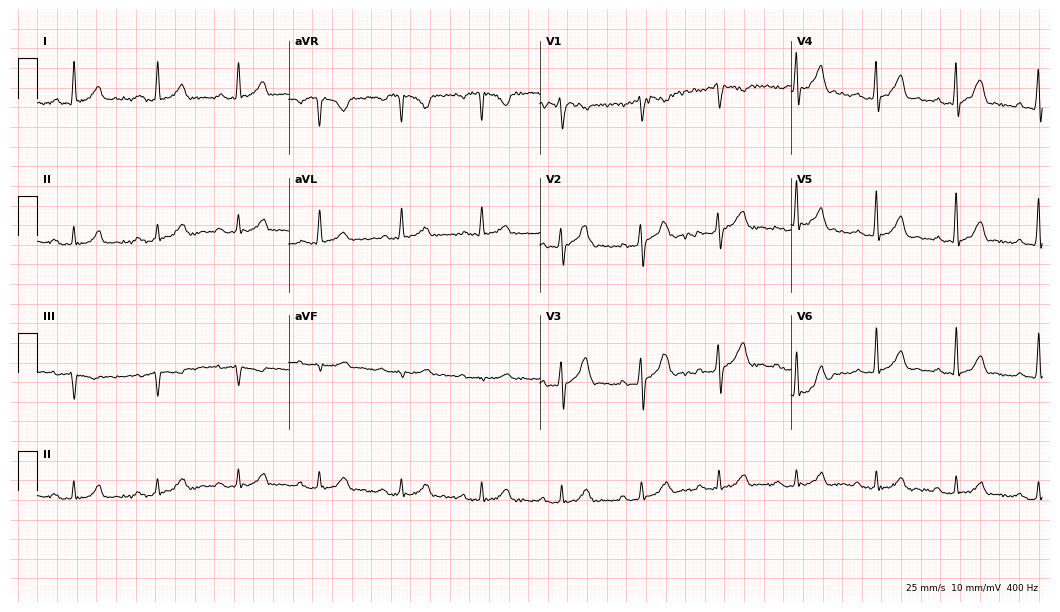
Electrocardiogram, a 42-year-old male patient. Overall reading on record: normal ECG.